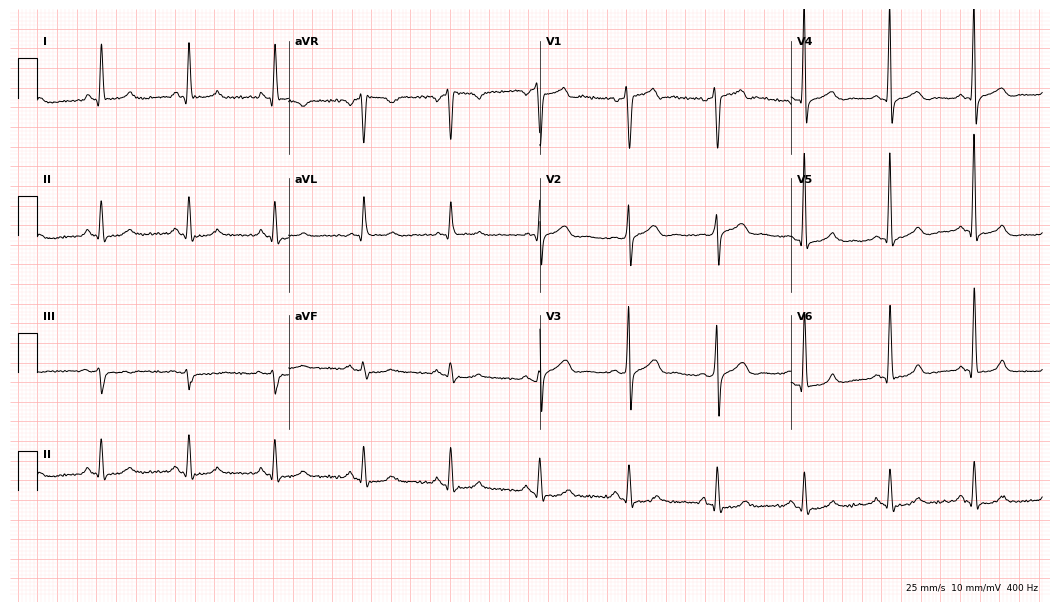
ECG — a male patient, 65 years old. Screened for six findings — first-degree AV block, right bundle branch block (RBBB), left bundle branch block (LBBB), sinus bradycardia, atrial fibrillation (AF), sinus tachycardia — none is recorded. Other findings, if any, are not listed.